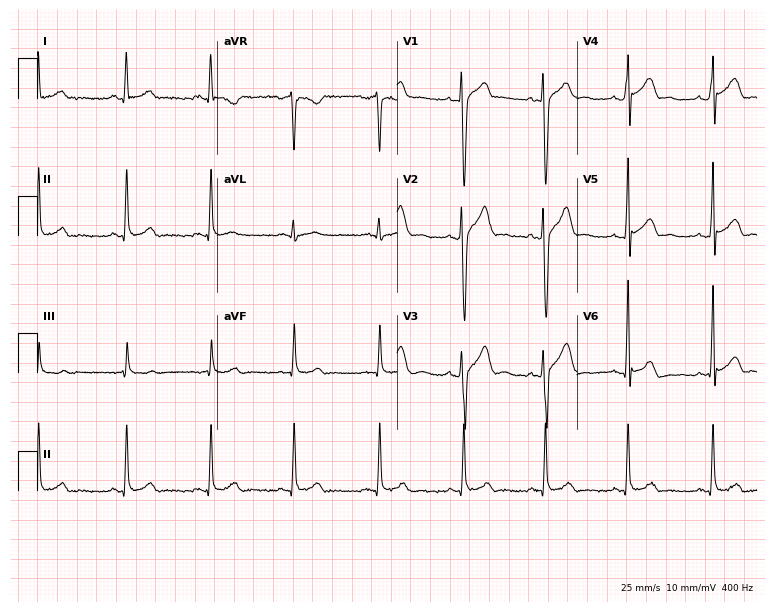
12-lead ECG from a 27-year-old man. No first-degree AV block, right bundle branch block, left bundle branch block, sinus bradycardia, atrial fibrillation or sinus tachycardia recorded for this tracing.